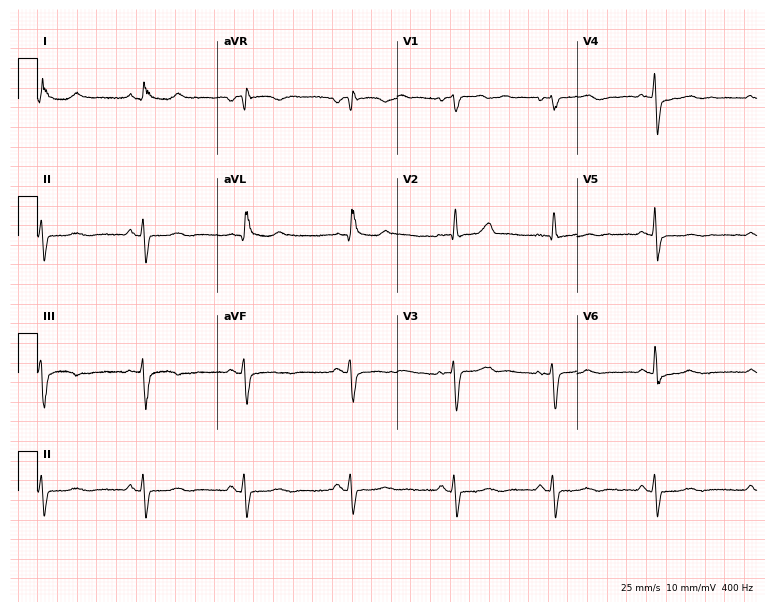
ECG (7.3-second recording at 400 Hz) — a woman, 61 years old. Screened for six findings — first-degree AV block, right bundle branch block (RBBB), left bundle branch block (LBBB), sinus bradycardia, atrial fibrillation (AF), sinus tachycardia — none is recorded.